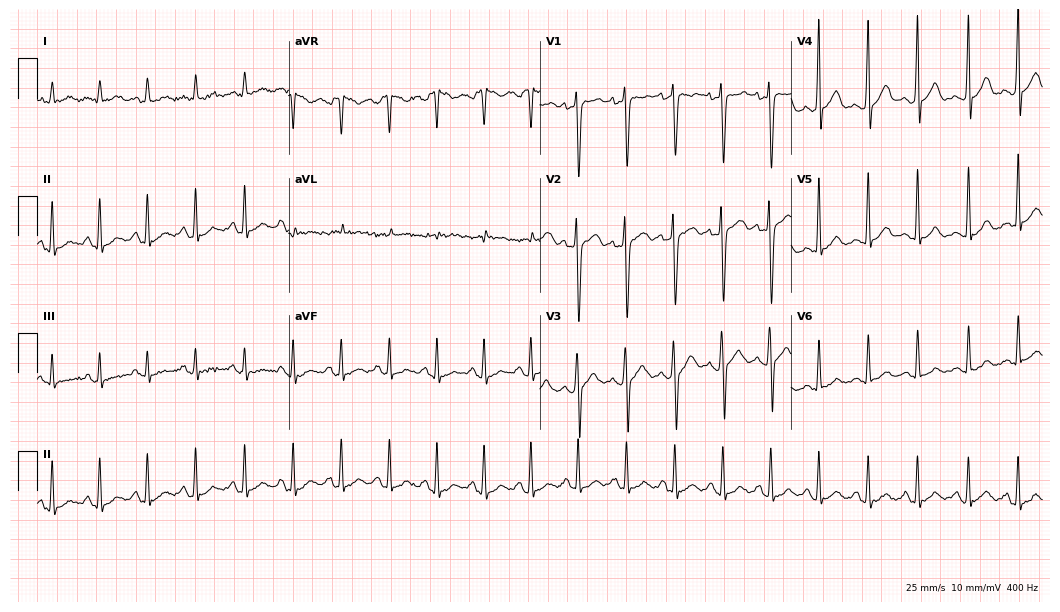
Standard 12-lead ECG recorded from a male patient, 17 years old. The tracing shows sinus tachycardia (a sinus rate of 100 beats per minute or more).